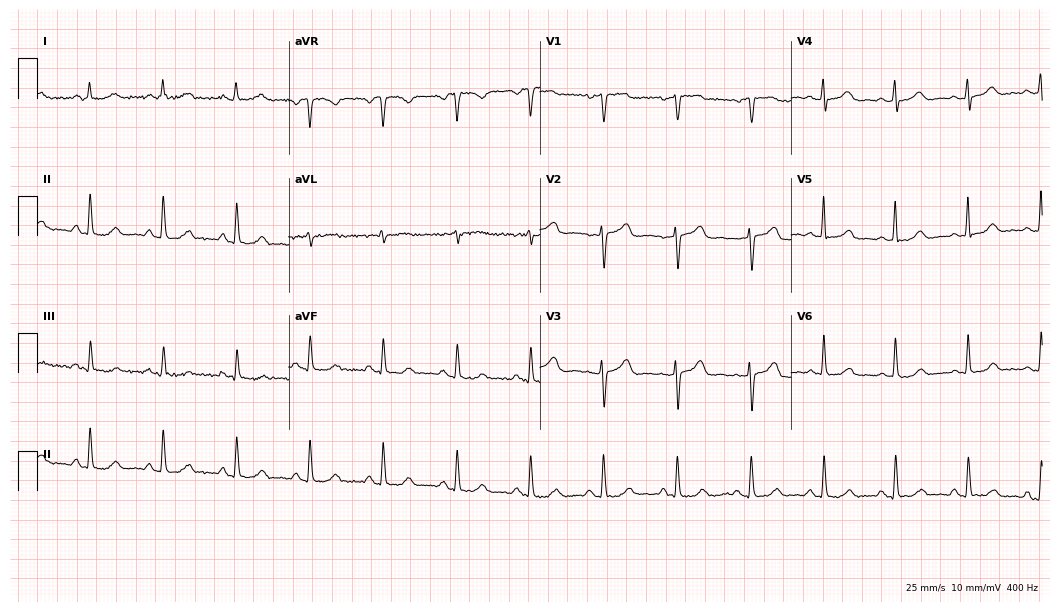
Resting 12-lead electrocardiogram. Patient: a 77-year-old woman. Read as a normal ECG.